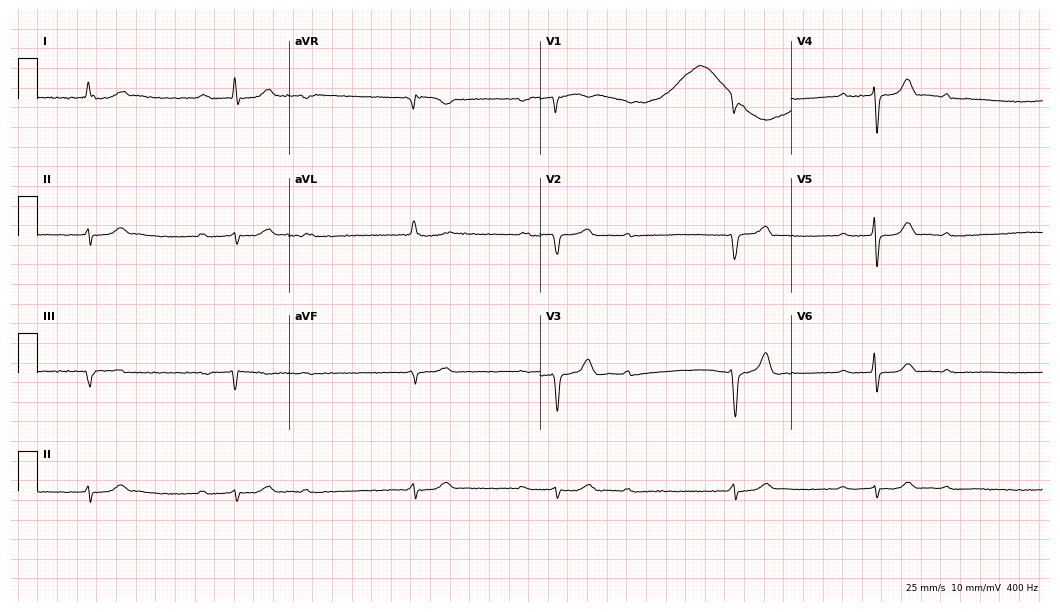
12-lead ECG from a male patient, 74 years old. Findings include first-degree AV block, atrial fibrillation (AF).